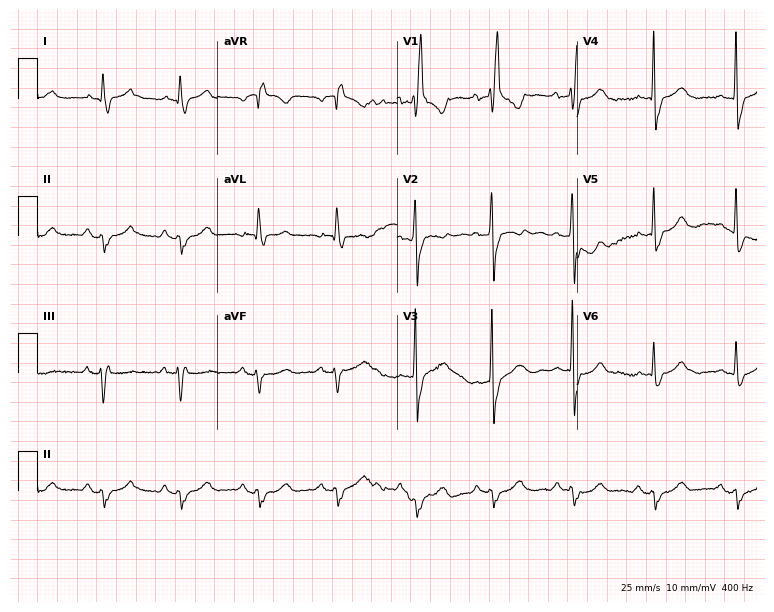
12-lead ECG (7.3-second recording at 400 Hz) from a 70-year-old male patient. Findings include right bundle branch block.